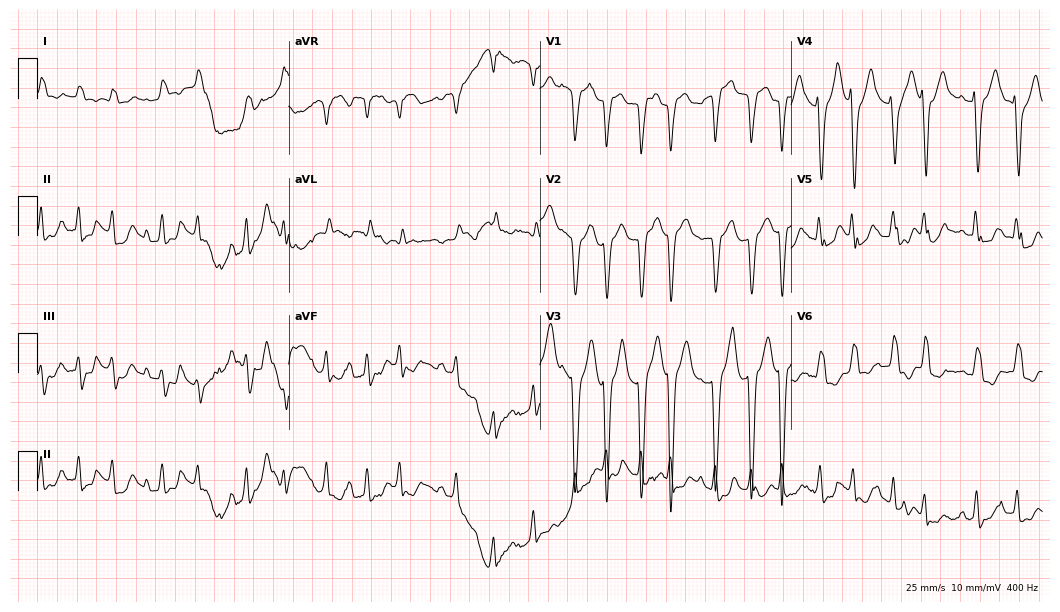
Standard 12-lead ECG recorded from a woman, 78 years old. The tracing shows atrial fibrillation.